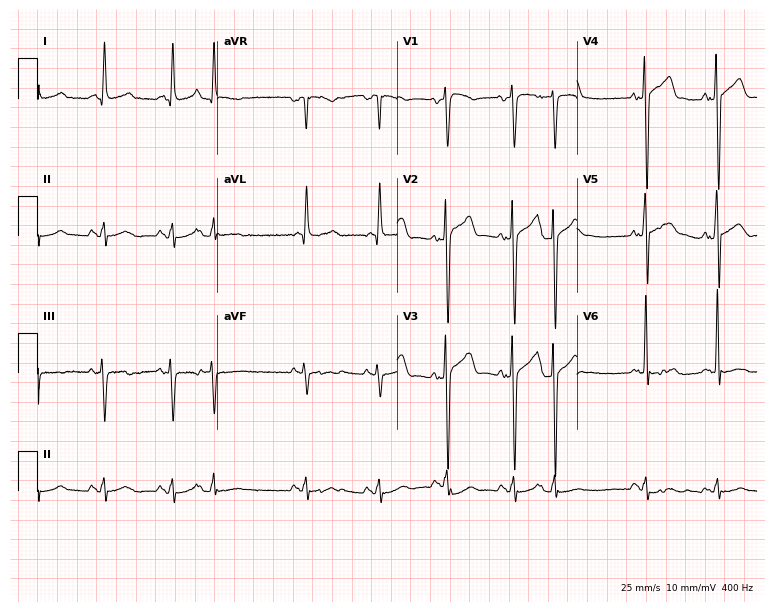
12-lead ECG from a male patient, 76 years old. Recorded interpretation: within normal limits.